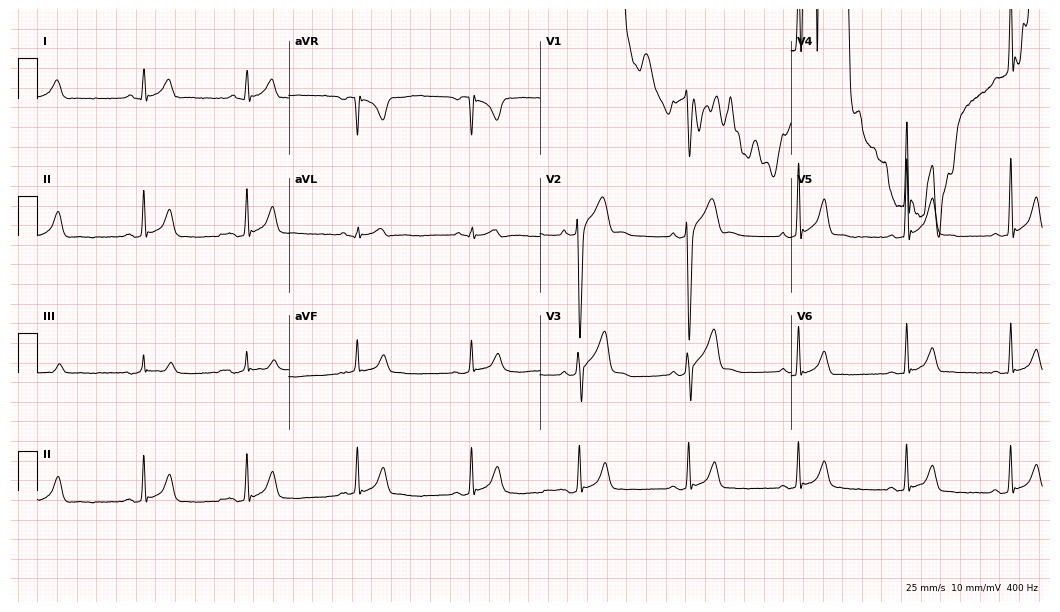
Standard 12-lead ECG recorded from an 18-year-old man (10.2-second recording at 400 Hz). None of these six findings is recorded: first-degree AV block, right bundle branch block, left bundle branch block, sinus bradycardia, atrial fibrillation, sinus tachycardia.